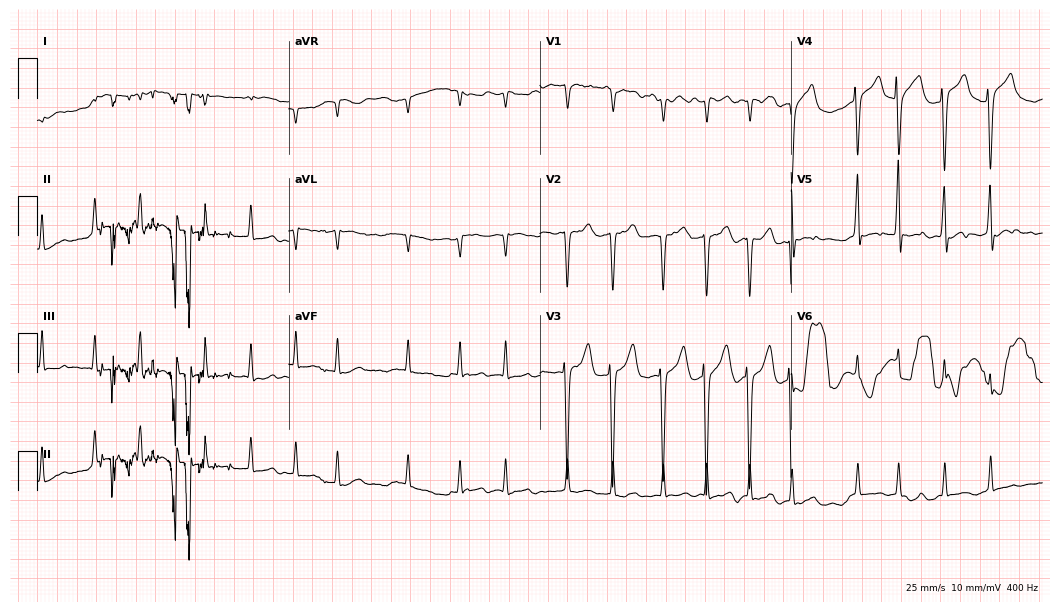
ECG — a 74-year-old female patient. Screened for six findings — first-degree AV block, right bundle branch block, left bundle branch block, sinus bradycardia, atrial fibrillation, sinus tachycardia — none is recorded.